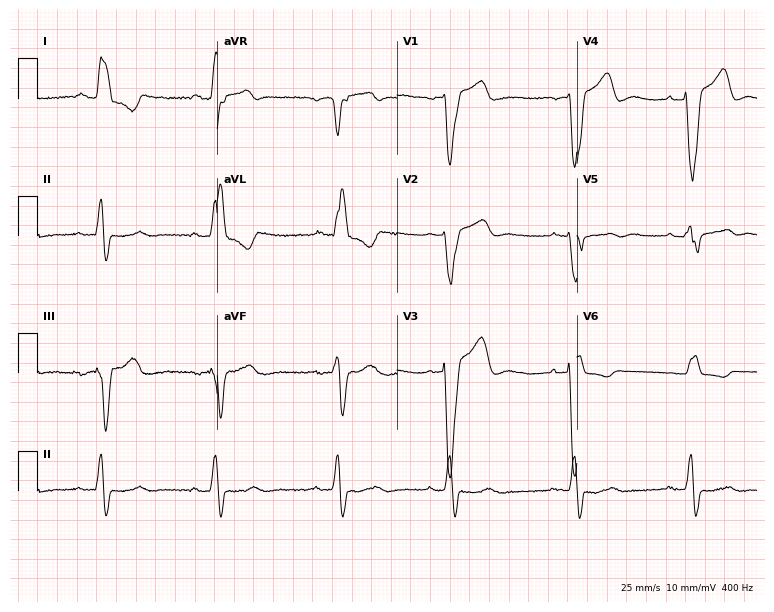
12-lead ECG from a female, 69 years old. Shows right bundle branch block, left bundle branch block.